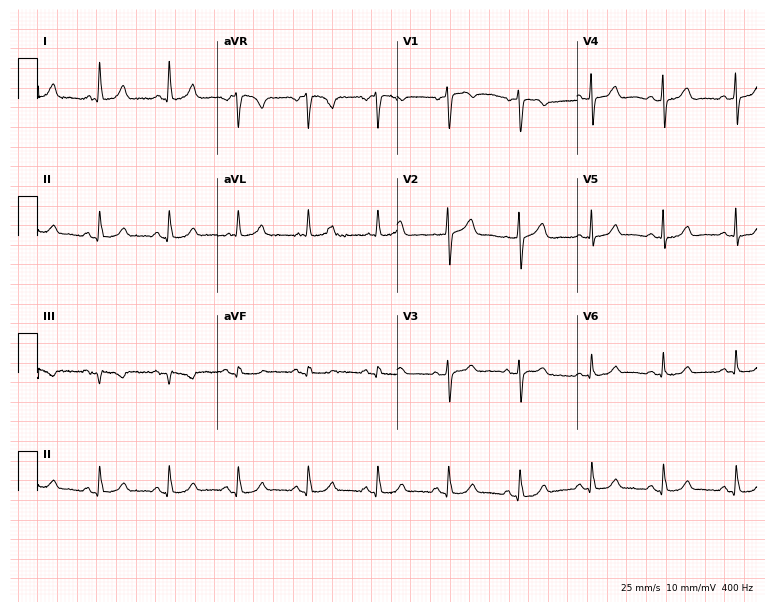
Standard 12-lead ECG recorded from a 68-year-old woman. Read as a normal ECG.